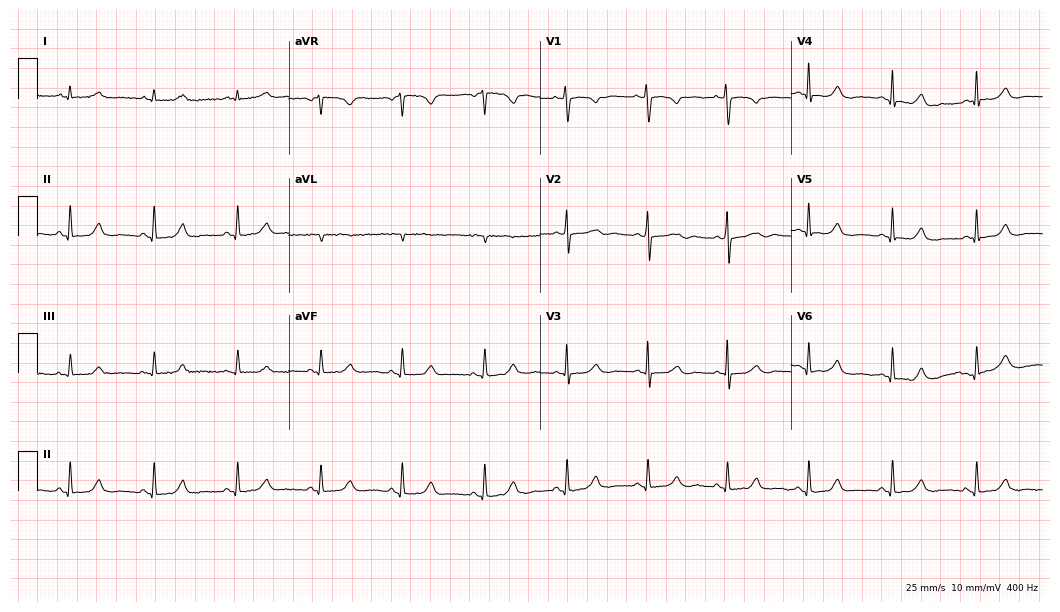
Standard 12-lead ECG recorded from a 36-year-old male. None of these six findings is recorded: first-degree AV block, right bundle branch block, left bundle branch block, sinus bradycardia, atrial fibrillation, sinus tachycardia. Only these six findings were labelled.